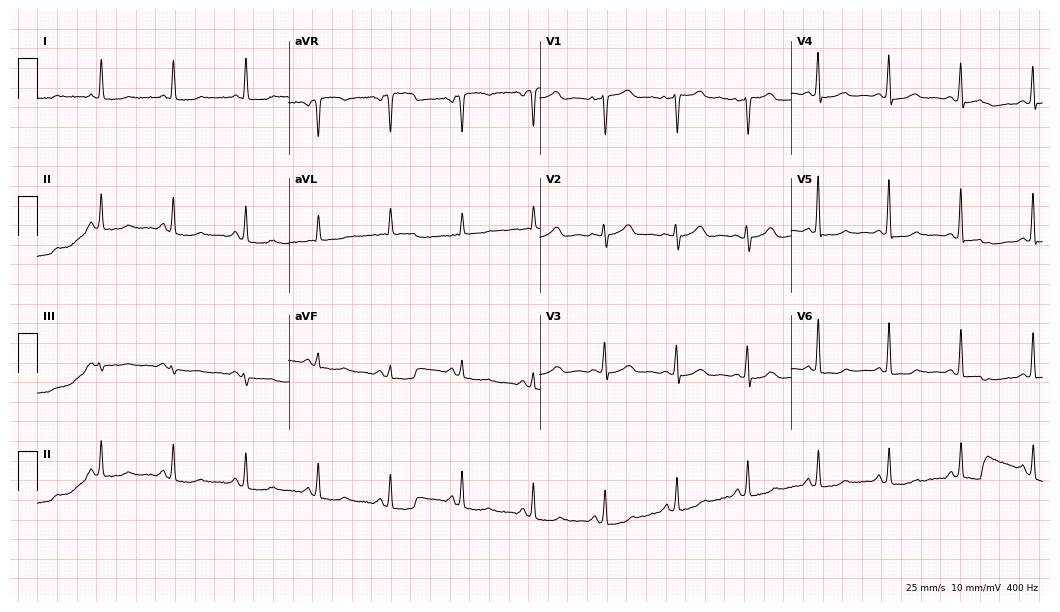
Electrocardiogram (10.2-second recording at 400 Hz), a 72-year-old woman. Of the six screened findings (first-degree AV block, right bundle branch block (RBBB), left bundle branch block (LBBB), sinus bradycardia, atrial fibrillation (AF), sinus tachycardia), none is recorded. Only these six findings were labelled.